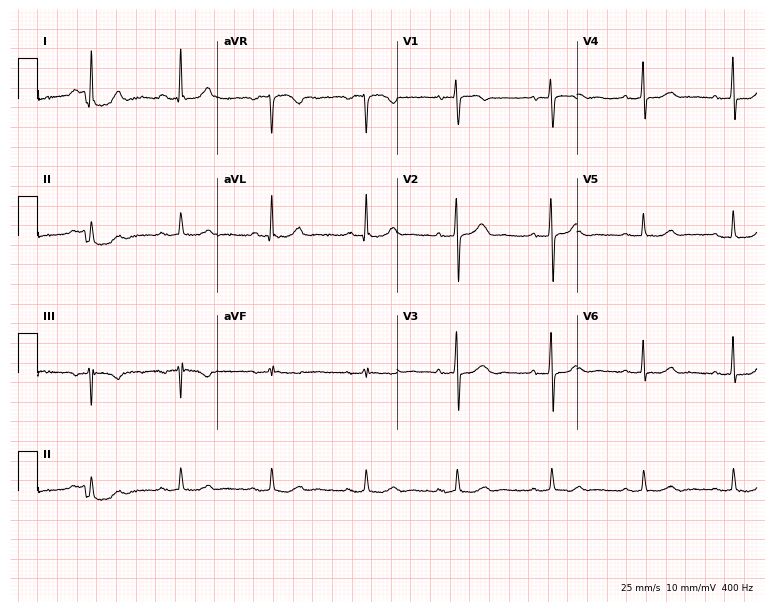
Resting 12-lead electrocardiogram (7.3-second recording at 400 Hz). Patient: a woman, 61 years old. None of these six findings is recorded: first-degree AV block, right bundle branch block, left bundle branch block, sinus bradycardia, atrial fibrillation, sinus tachycardia.